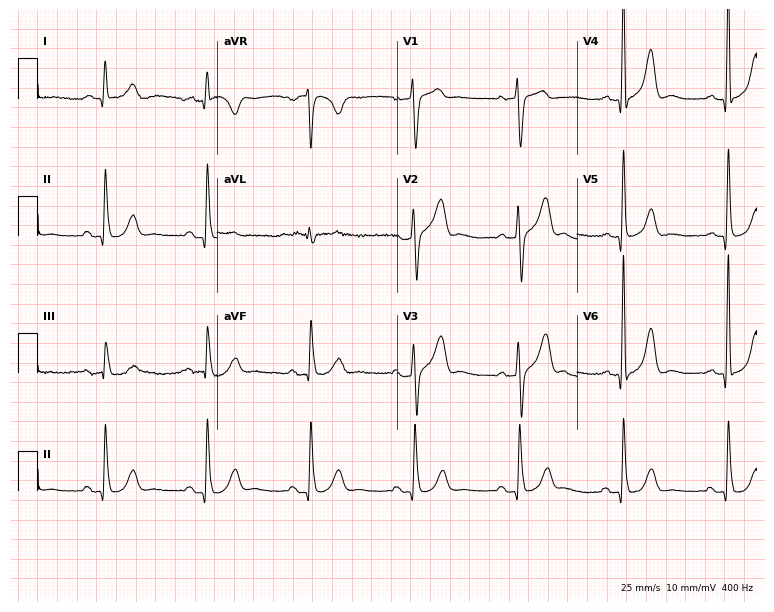
12-lead ECG from a male patient, 73 years old. No first-degree AV block, right bundle branch block, left bundle branch block, sinus bradycardia, atrial fibrillation or sinus tachycardia recorded for this tracing. Other findings, if any, are not listed.